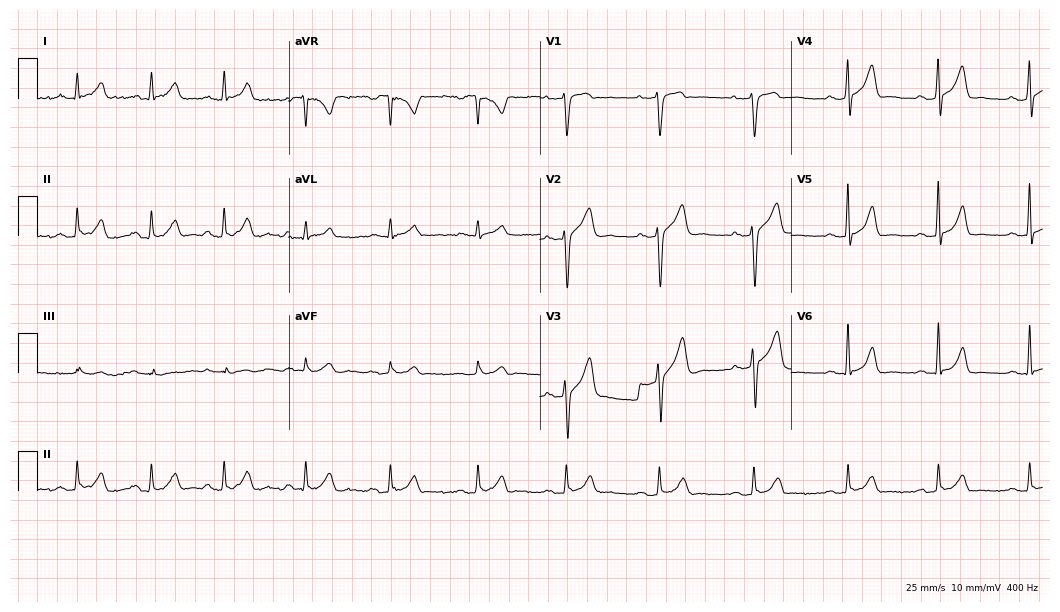
12-lead ECG from a 33-year-old man. Recorded interpretation: within normal limits.